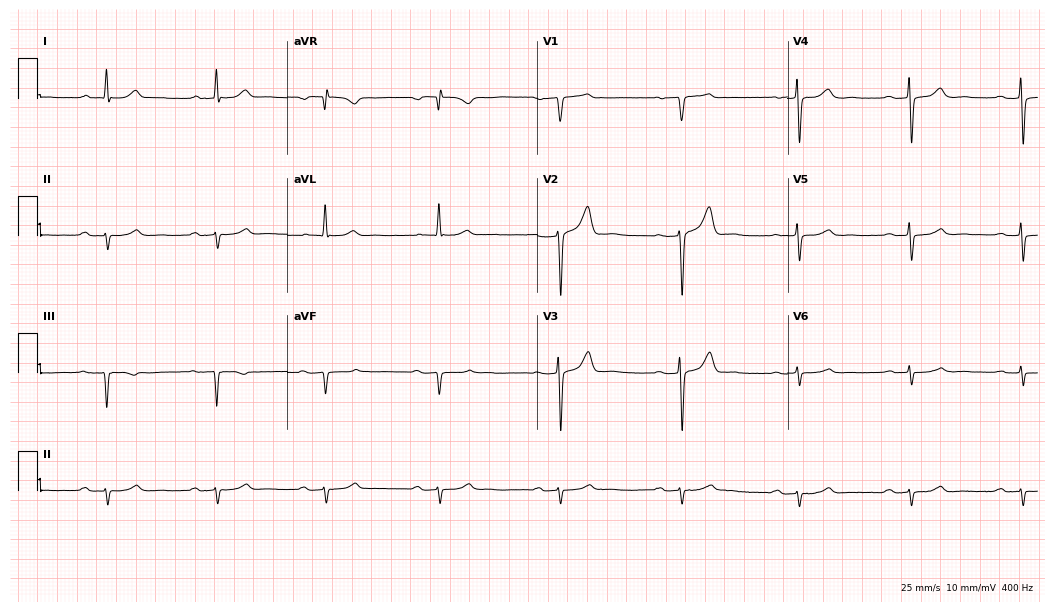
12-lead ECG from a 68-year-old man (10.2-second recording at 400 Hz). No first-degree AV block, right bundle branch block, left bundle branch block, sinus bradycardia, atrial fibrillation or sinus tachycardia recorded for this tracing.